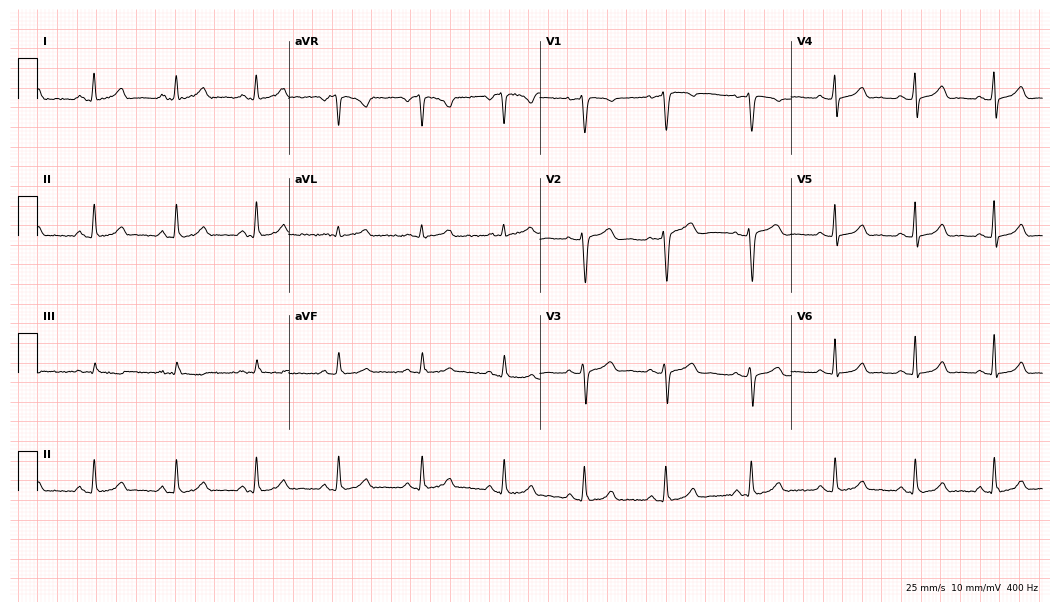
Standard 12-lead ECG recorded from a female patient, 44 years old (10.2-second recording at 400 Hz). None of these six findings is recorded: first-degree AV block, right bundle branch block (RBBB), left bundle branch block (LBBB), sinus bradycardia, atrial fibrillation (AF), sinus tachycardia.